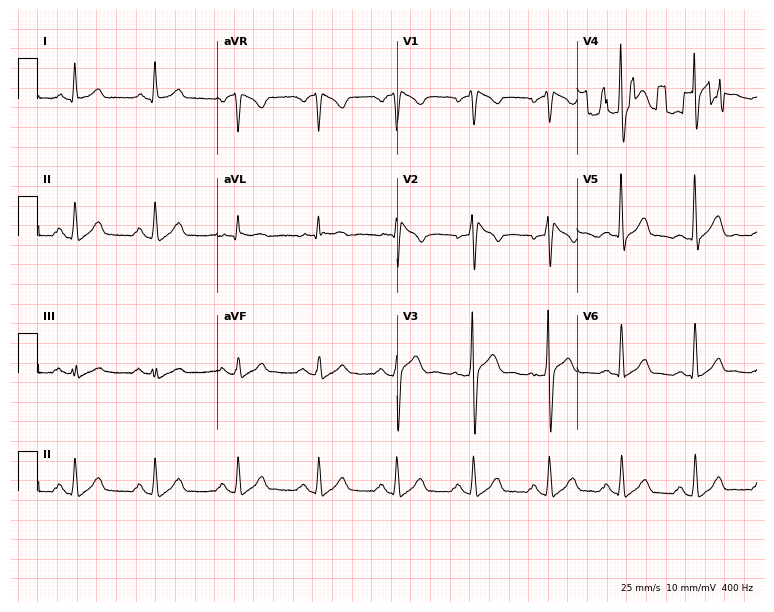
12-lead ECG (7.3-second recording at 400 Hz) from a 25-year-old male. Screened for six findings — first-degree AV block, right bundle branch block, left bundle branch block, sinus bradycardia, atrial fibrillation, sinus tachycardia — none is recorded.